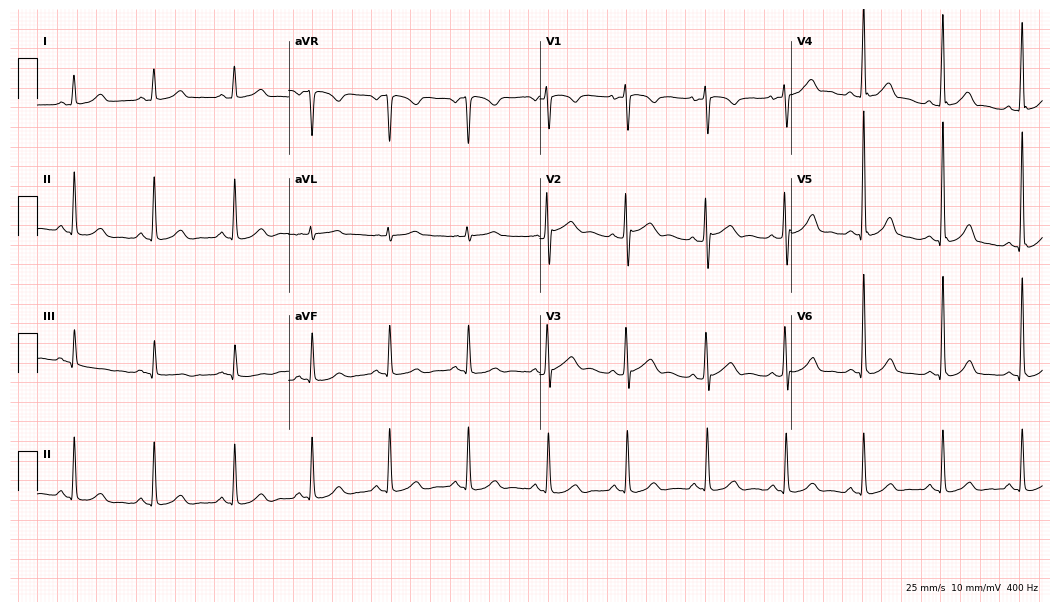
Resting 12-lead electrocardiogram. Patient: a 39-year-old female. Read as a normal ECG.